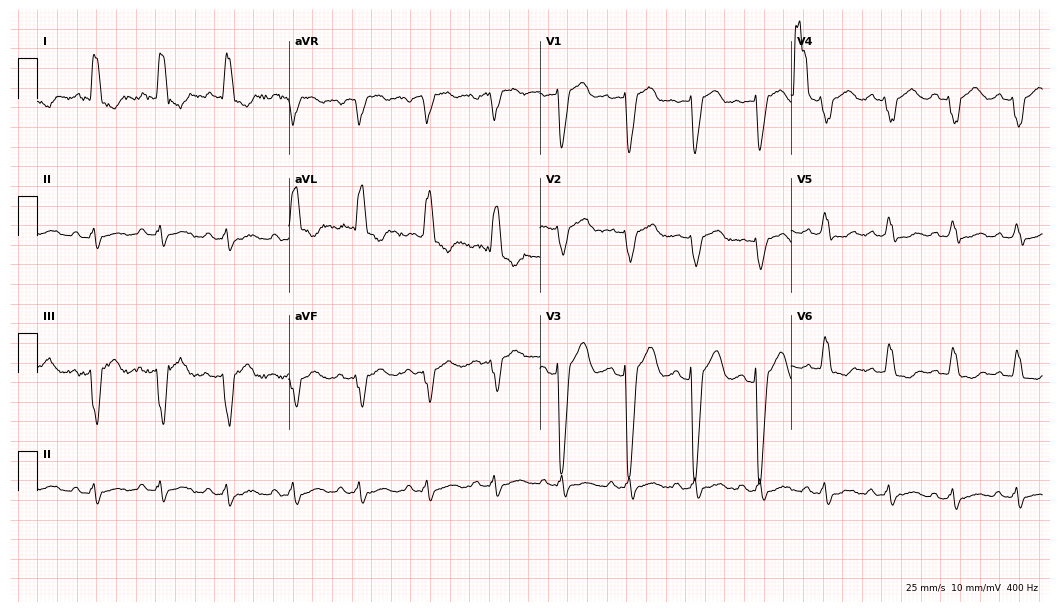
Resting 12-lead electrocardiogram. Patient: a 75-year-old woman. The tracing shows left bundle branch block.